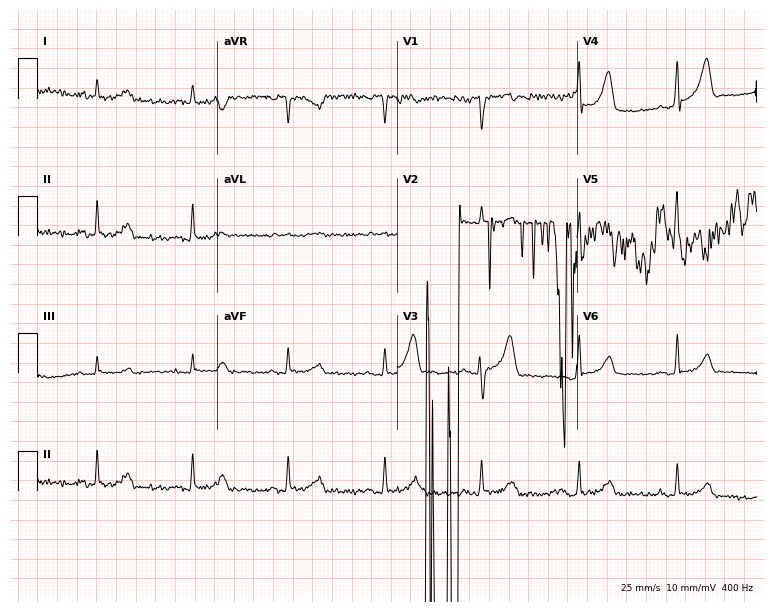
Resting 12-lead electrocardiogram. Patient: a 45-year-old male. None of these six findings is recorded: first-degree AV block, right bundle branch block, left bundle branch block, sinus bradycardia, atrial fibrillation, sinus tachycardia. Only these six findings were labelled.